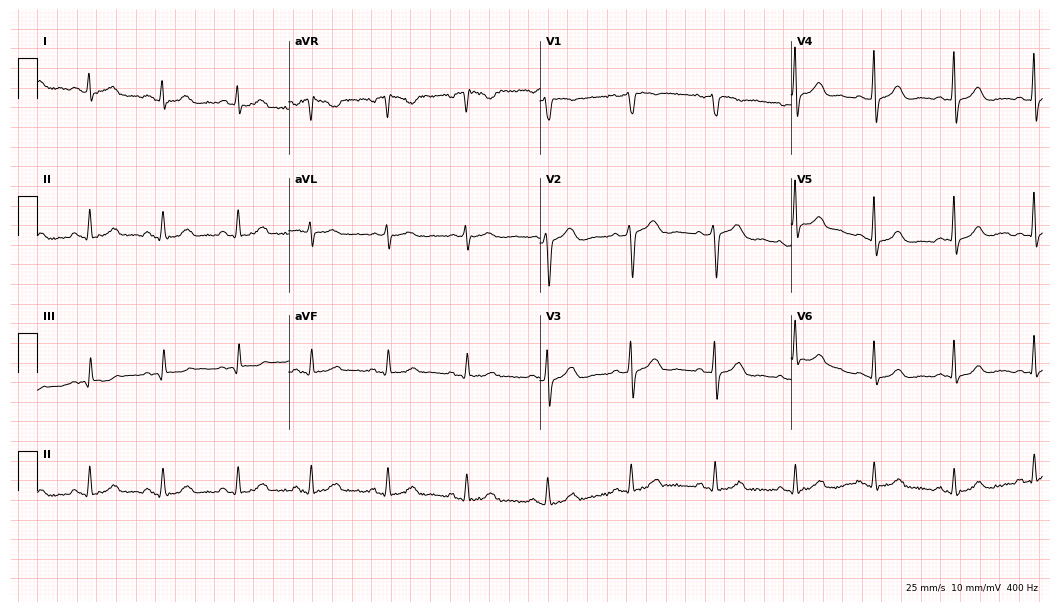
12-lead ECG from a woman, 48 years old (10.2-second recording at 400 Hz). Recorded interpretation: within normal limits.